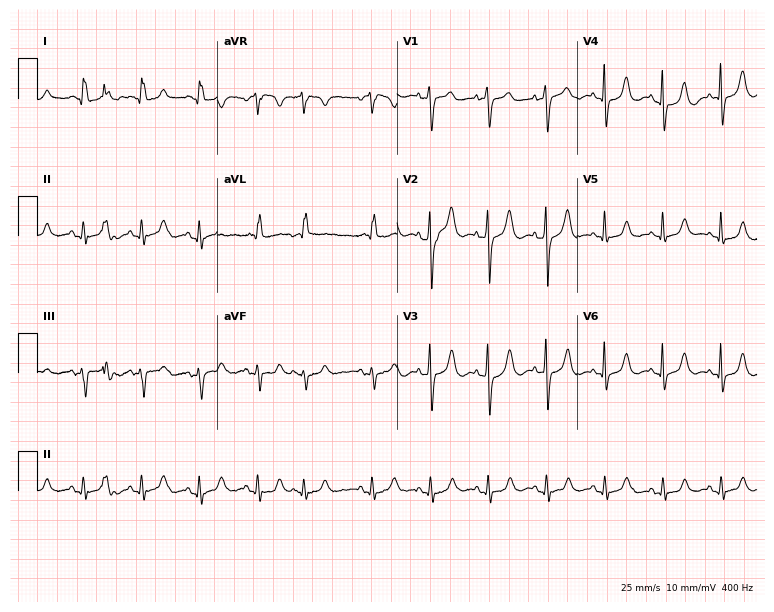
12-lead ECG from a 76-year-old female. No first-degree AV block, right bundle branch block (RBBB), left bundle branch block (LBBB), sinus bradycardia, atrial fibrillation (AF) or sinus tachycardia recorded for this tracing.